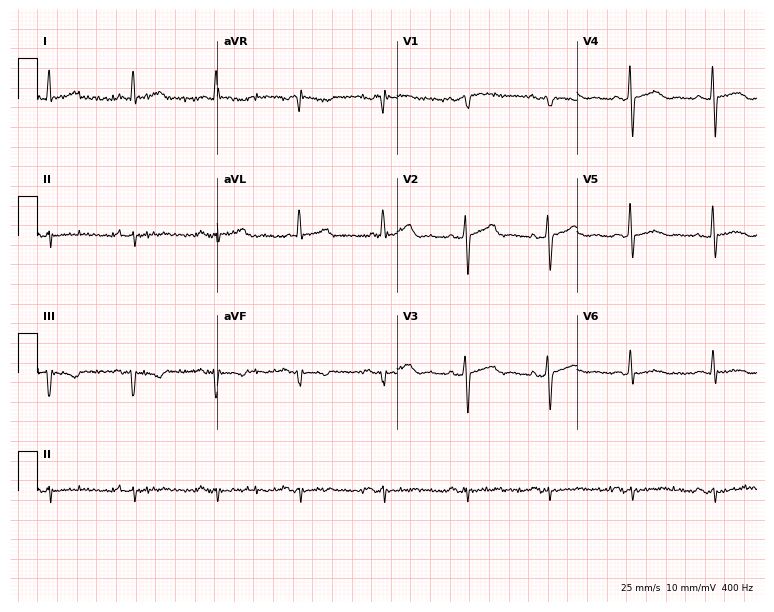
Resting 12-lead electrocardiogram (7.3-second recording at 400 Hz). Patient: a man, 68 years old. None of these six findings is recorded: first-degree AV block, right bundle branch block (RBBB), left bundle branch block (LBBB), sinus bradycardia, atrial fibrillation (AF), sinus tachycardia. Only these six findings were labelled.